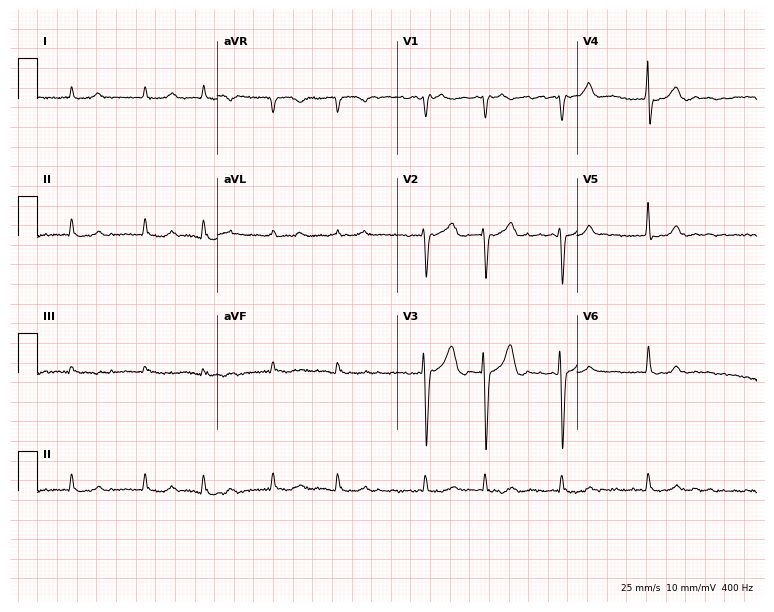
12-lead ECG from a female patient, 83 years old. Findings include atrial fibrillation.